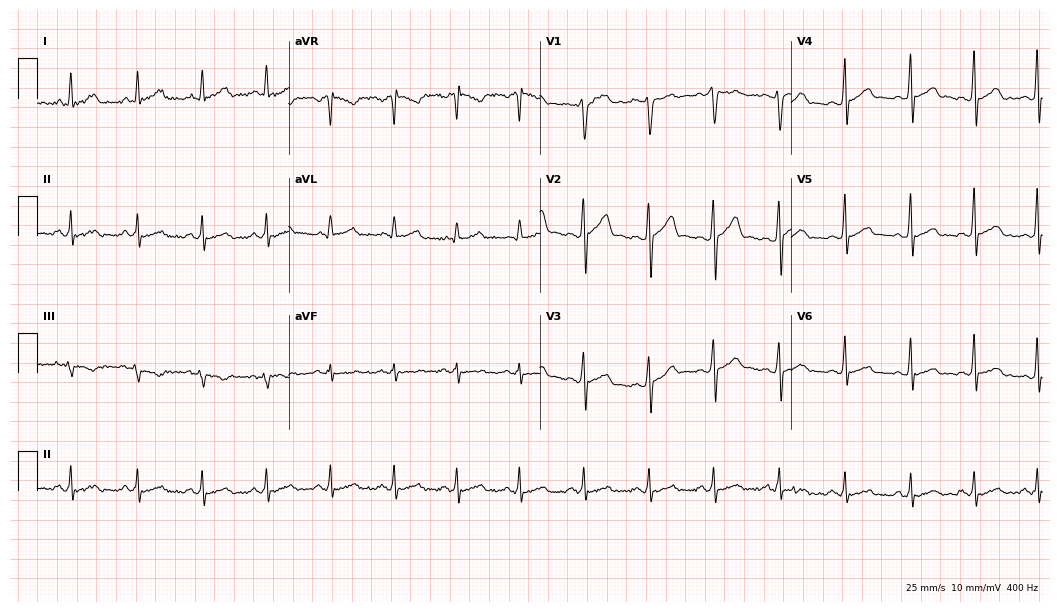
Resting 12-lead electrocardiogram. Patient: a man, 29 years old. Read as a normal ECG.